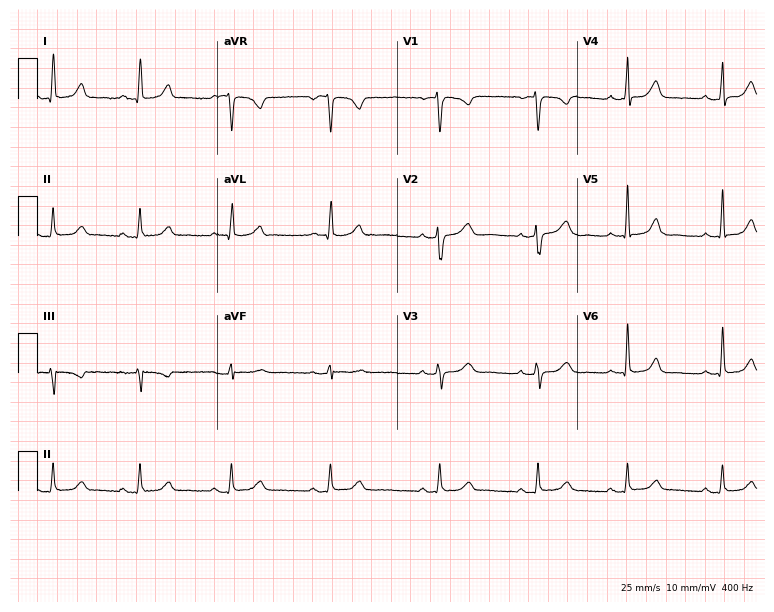
Standard 12-lead ECG recorded from a female patient, 38 years old (7.3-second recording at 400 Hz). Read as a normal ECG.